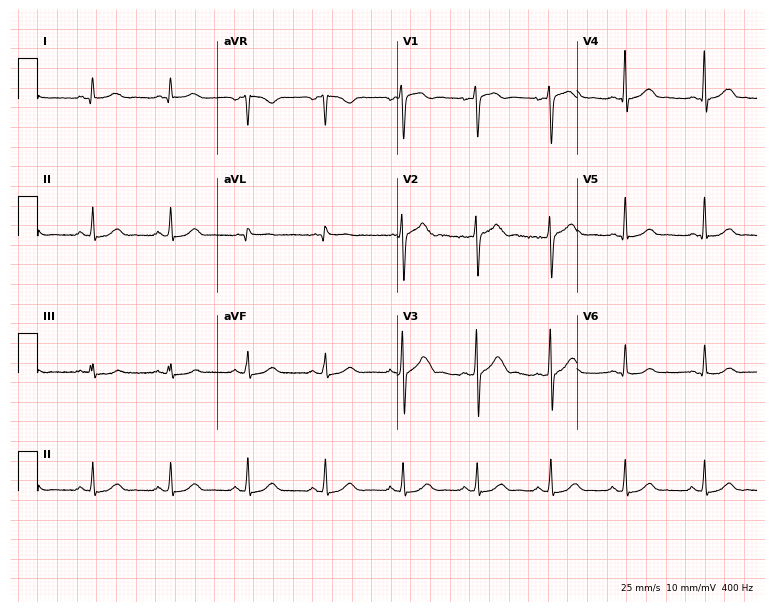
12-lead ECG from a 38-year-old man. Recorded interpretation: within normal limits.